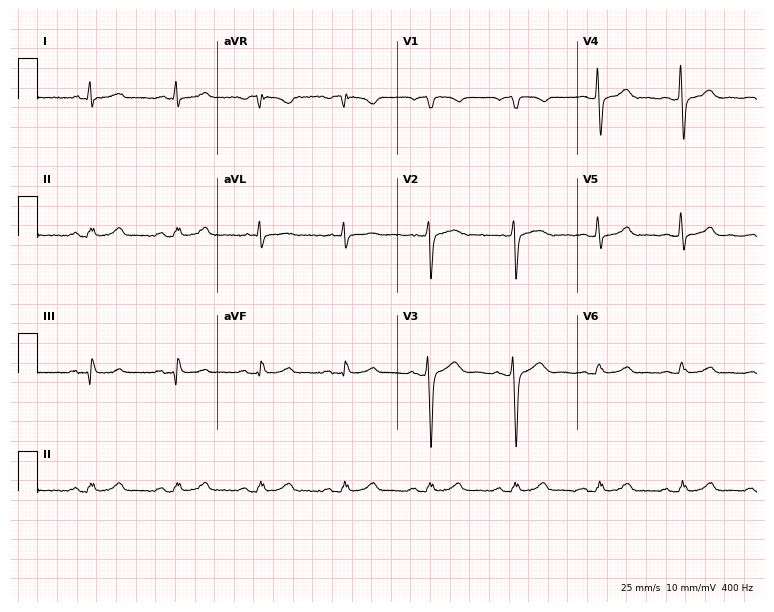
Electrocardiogram (7.3-second recording at 400 Hz), a 64-year-old male. Of the six screened findings (first-degree AV block, right bundle branch block (RBBB), left bundle branch block (LBBB), sinus bradycardia, atrial fibrillation (AF), sinus tachycardia), none is recorded. Findings outside these six are not listed.